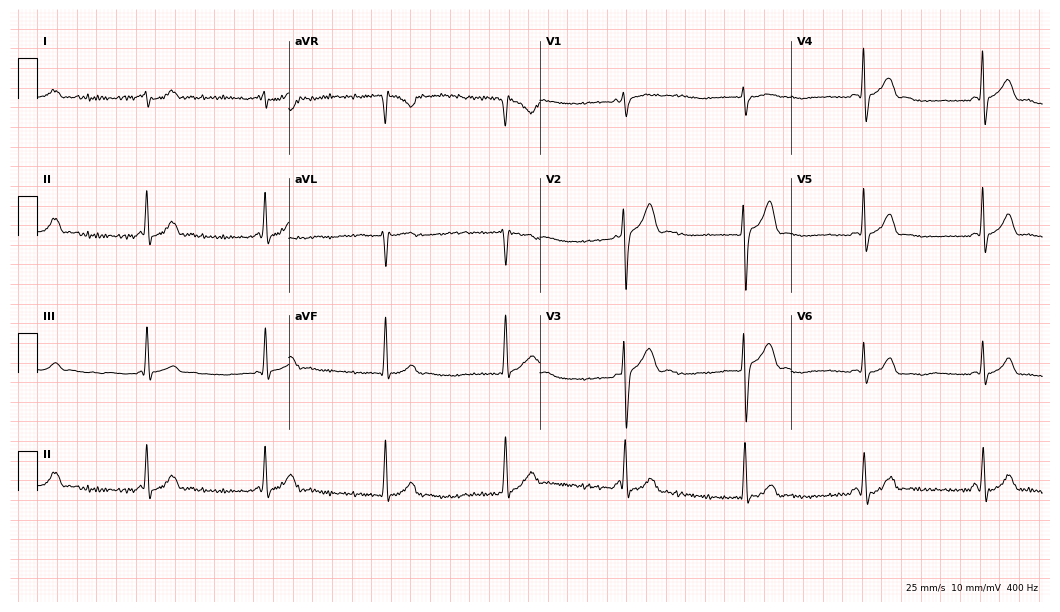
ECG — a 17-year-old man. Screened for six findings — first-degree AV block, right bundle branch block, left bundle branch block, sinus bradycardia, atrial fibrillation, sinus tachycardia — none is recorded.